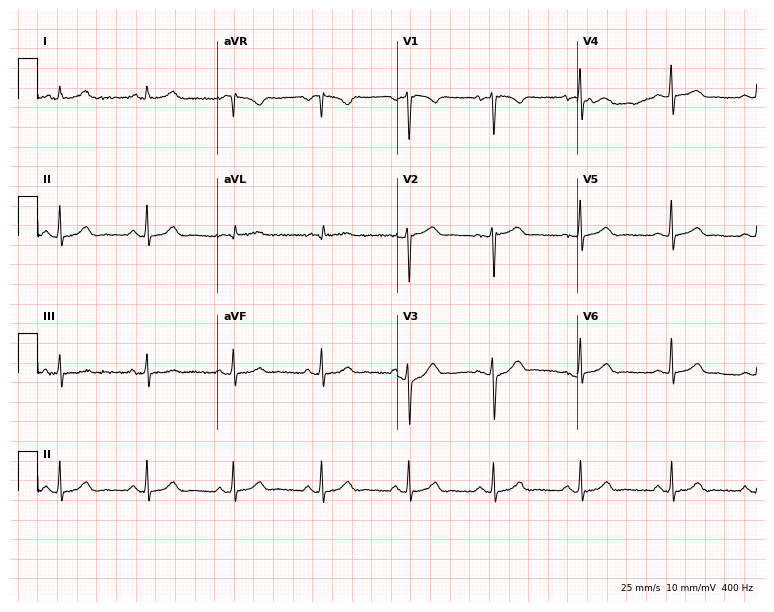
Resting 12-lead electrocardiogram (7.3-second recording at 400 Hz). Patient: a 22-year-old female. Read as a normal ECG.